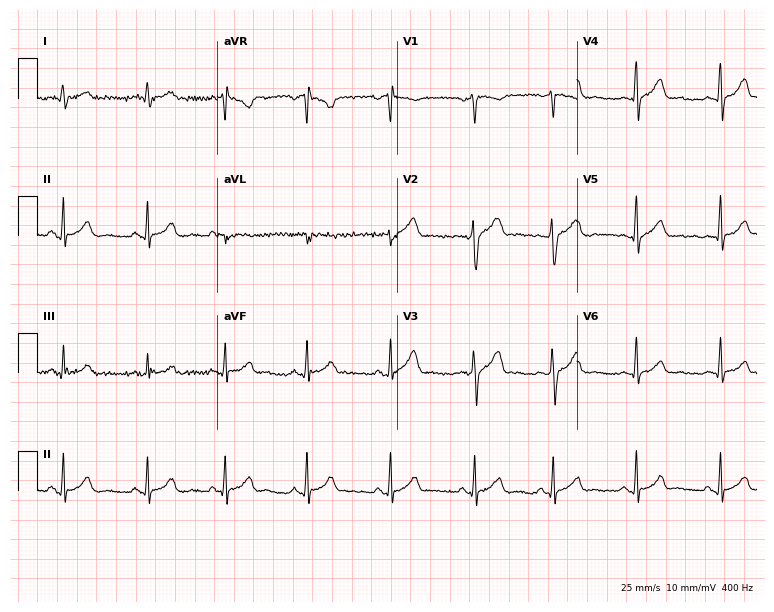
Electrocardiogram, a man, 37 years old. Overall reading on record: normal ECG.